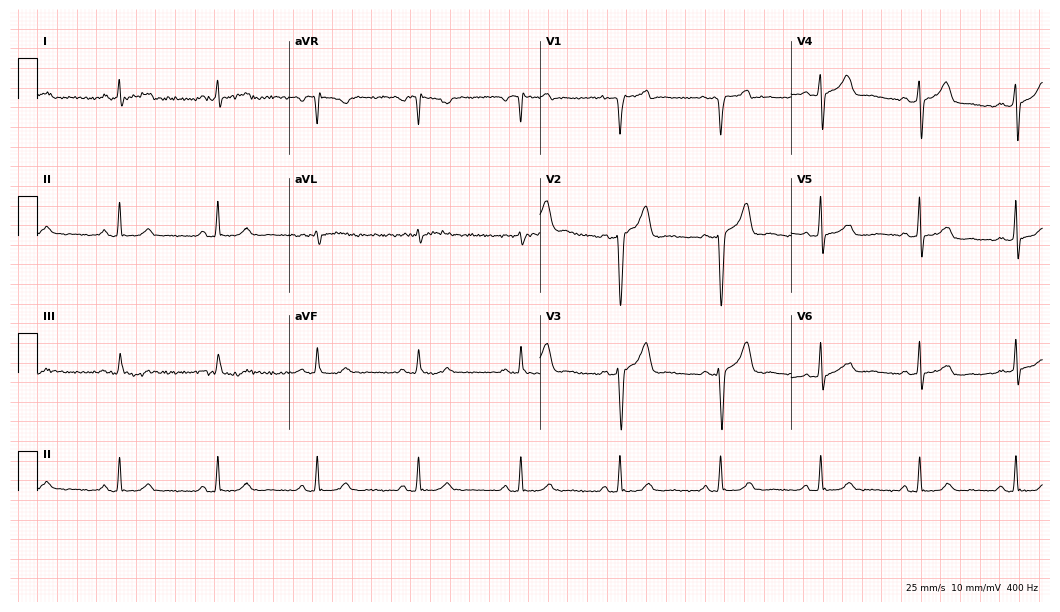
Standard 12-lead ECG recorded from a 41-year-old man. Read as a normal ECG.